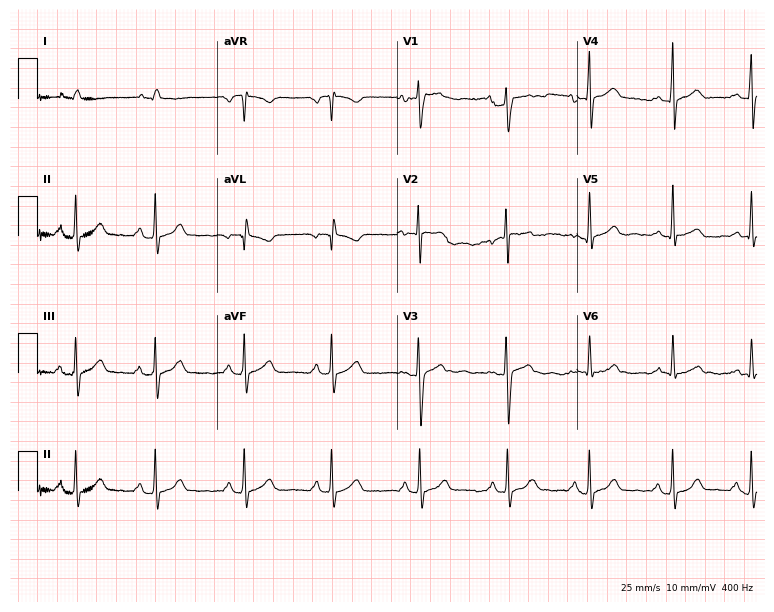
ECG (7.3-second recording at 400 Hz) — a male patient, 20 years old. Labelled as a normal ECG.